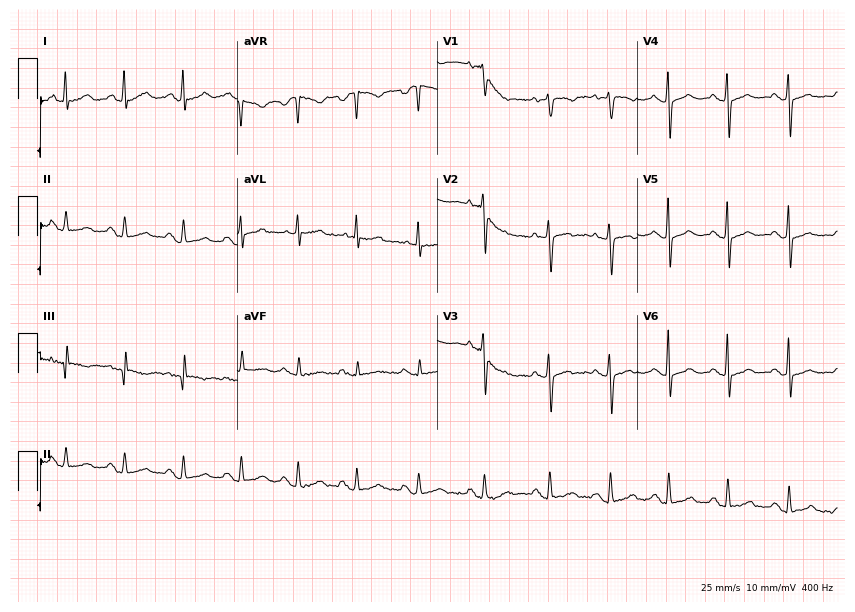
12-lead ECG (8.2-second recording at 400 Hz) from a woman, 62 years old. Labelled as a normal ECG.